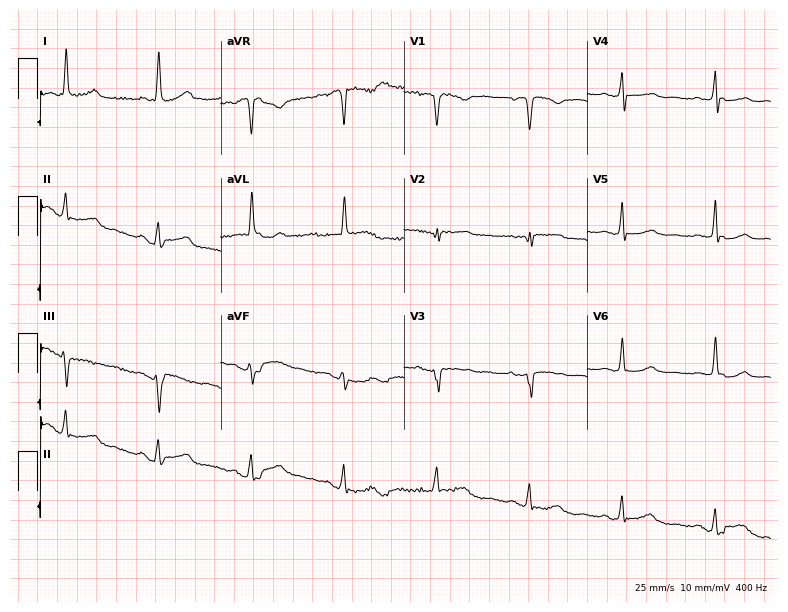
12-lead ECG from a 71-year-old female (7.5-second recording at 400 Hz). No first-degree AV block, right bundle branch block (RBBB), left bundle branch block (LBBB), sinus bradycardia, atrial fibrillation (AF) or sinus tachycardia recorded for this tracing.